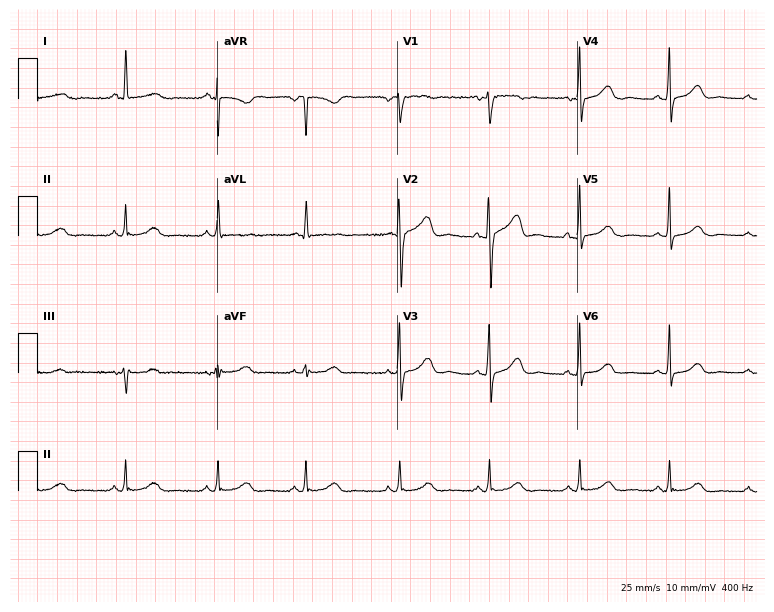
12-lead ECG from a female patient, 58 years old. Recorded interpretation: within normal limits.